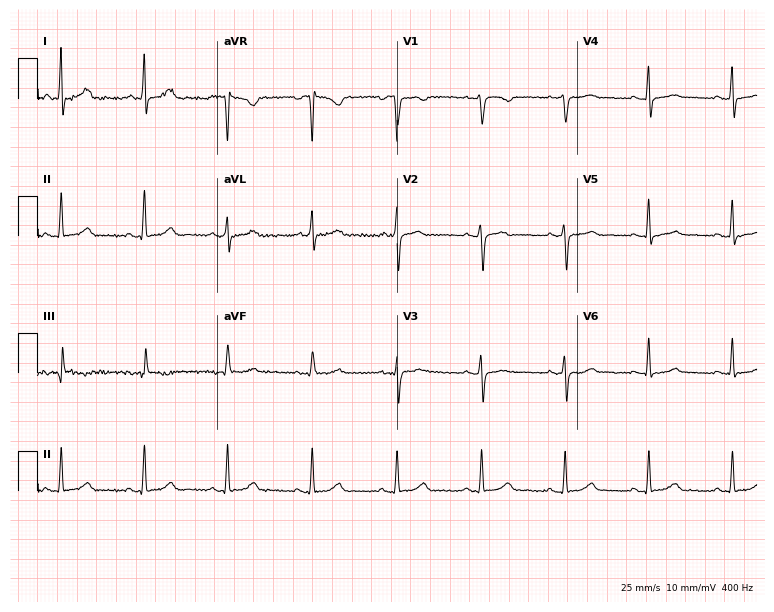
ECG (7.3-second recording at 400 Hz) — a woman, 61 years old. Labelled as a normal ECG.